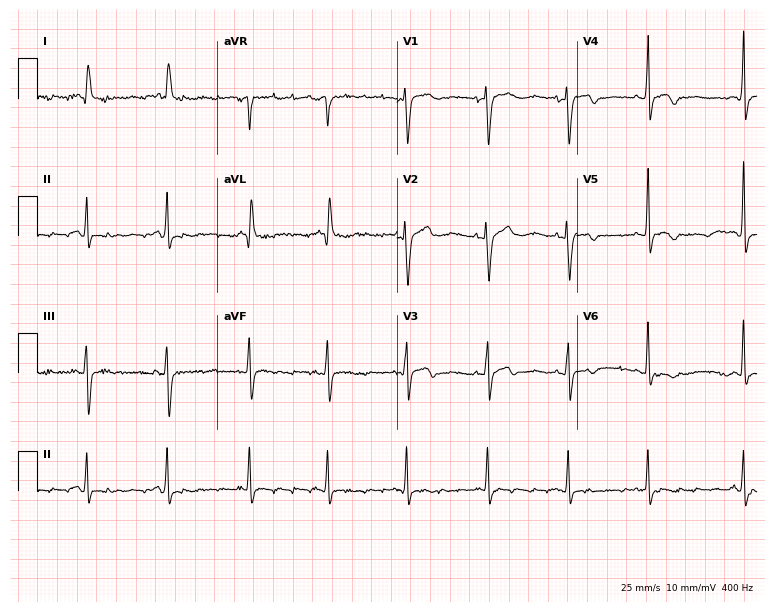
Electrocardiogram (7.3-second recording at 400 Hz), a 71-year-old female. Of the six screened findings (first-degree AV block, right bundle branch block, left bundle branch block, sinus bradycardia, atrial fibrillation, sinus tachycardia), none is recorded. Findings outside these six are not listed.